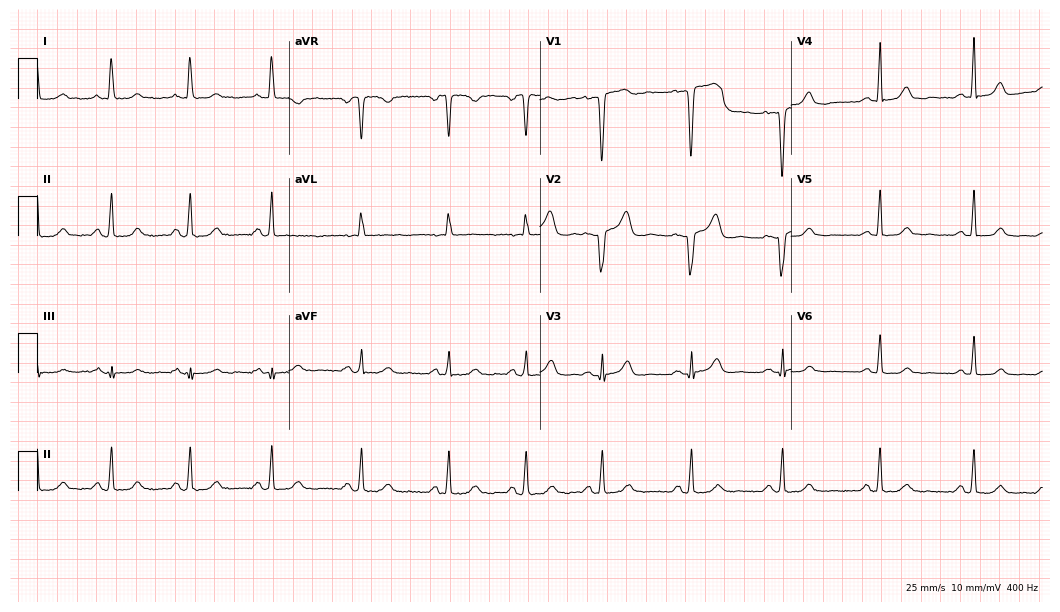
12-lead ECG from a female, 48 years old. No first-degree AV block, right bundle branch block (RBBB), left bundle branch block (LBBB), sinus bradycardia, atrial fibrillation (AF) or sinus tachycardia recorded for this tracing.